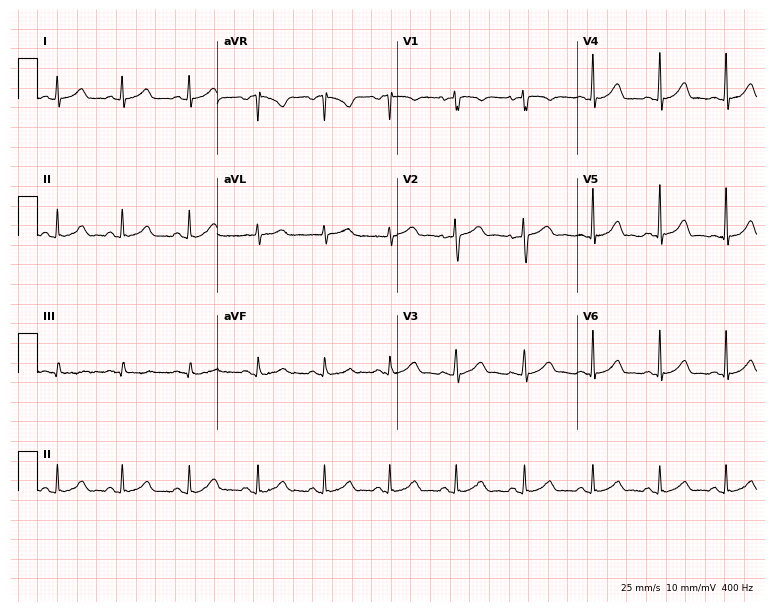
Standard 12-lead ECG recorded from a 27-year-old female. Read as a normal ECG.